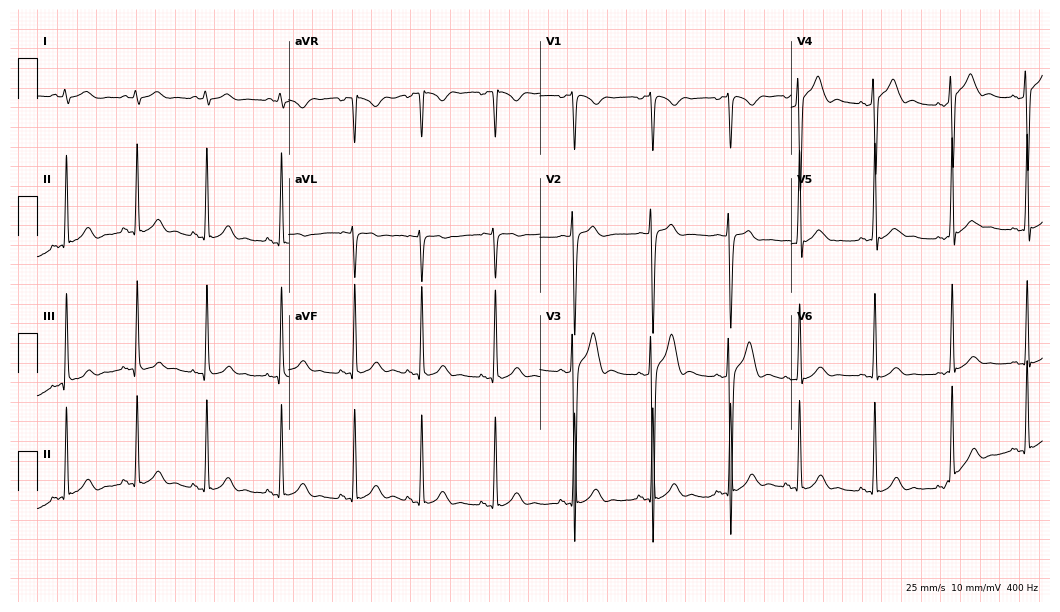
12-lead ECG (10.2-second recording at 400 Hz) from a 25-year-old male. Screened for six findings — first-degree AV block, right bundle branch block, left bundle branch block, sinus bradycardia, atrial fibrillation, sinus tachycardia — none is recorded.